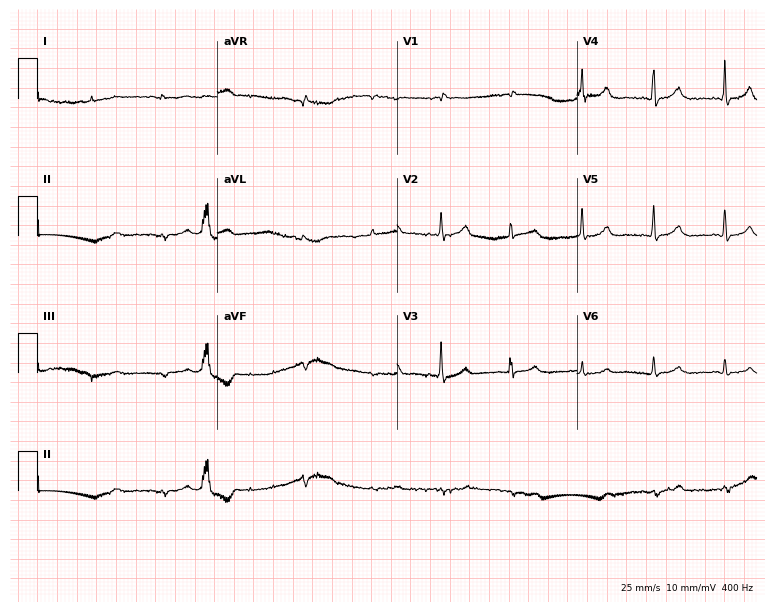
Resting 12-lead electrocardiogram. Patient: a male, 72 years old. None of these six findings is recorded: first-degree AV block, right bundle branch block, left bundle branch block, sinus bradycardia, atrial fibrillation, sinus tachycardia.